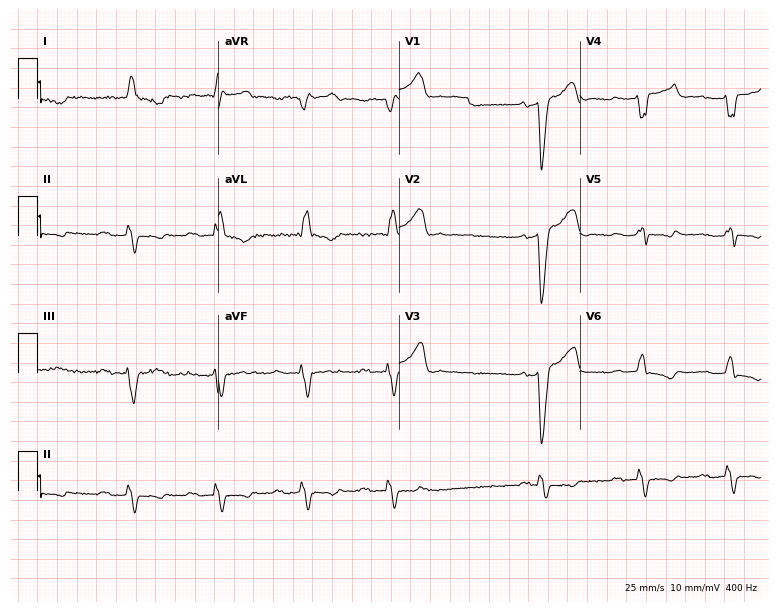
12-lead ECG (7.4-second recording at 400 Hz) from a man, 75 years old. Findings include first-degree AV block, left bundle branch block.